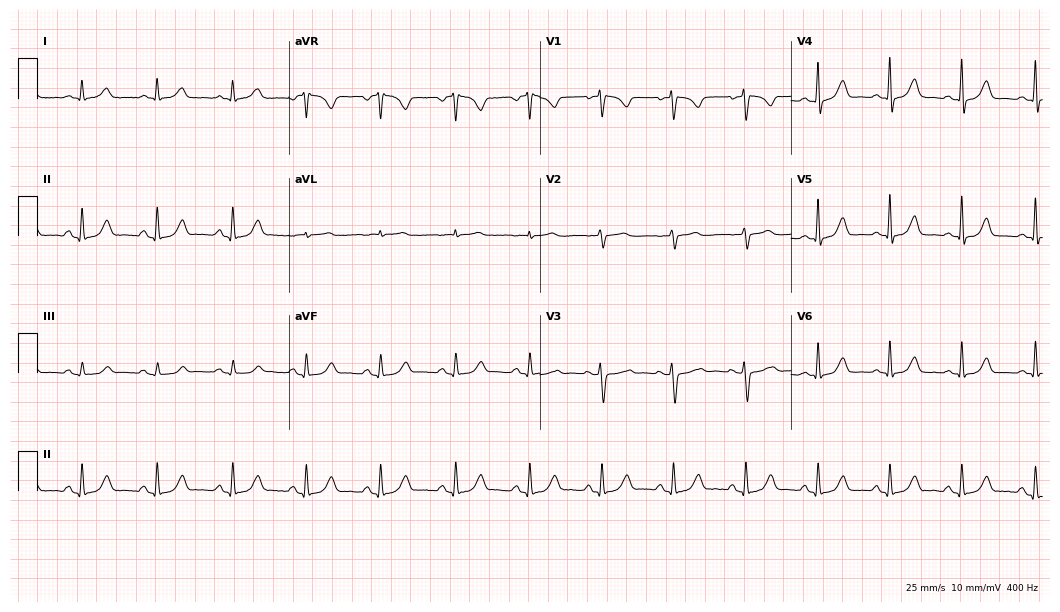
Resting 12-lead electrocardiogram (10.2-second recording at 400 Hz). Patient: a female, 51 years old. Read as a normal ECG.